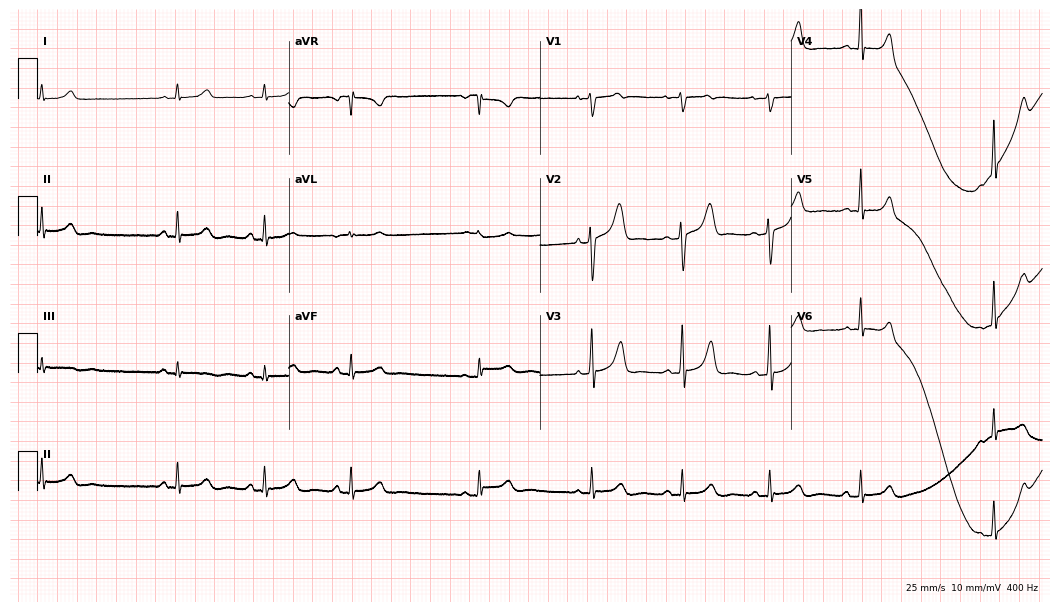
ECG — a 38-year-old female. Screened for six findings — first-degree AV block, right bundle branch block, left bundle branch block, sinus bradycardia, atrial fibrillation, sinus tachycardia — none is recorded. Other findings, if any, are not listed.